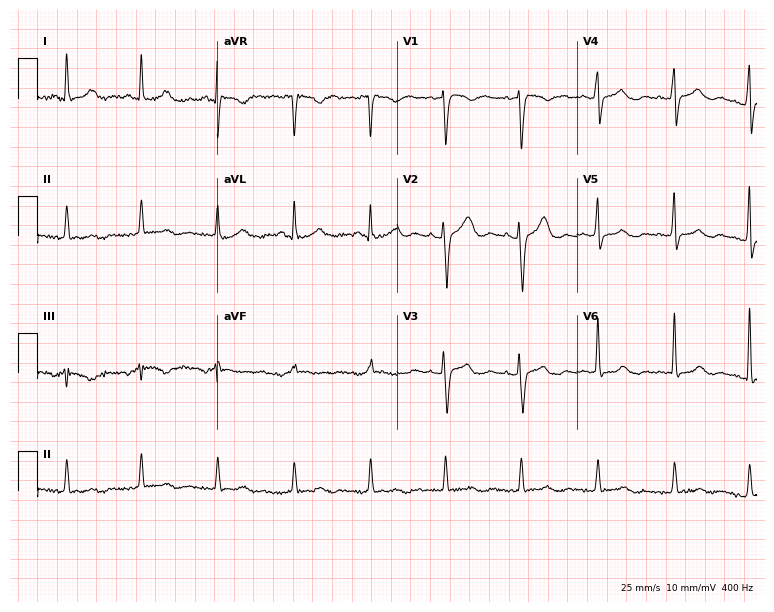
12-lead ECG (7.3-second recording at 400 Hz) from a 50-year-old female patient. Labelled as a normal ECG.